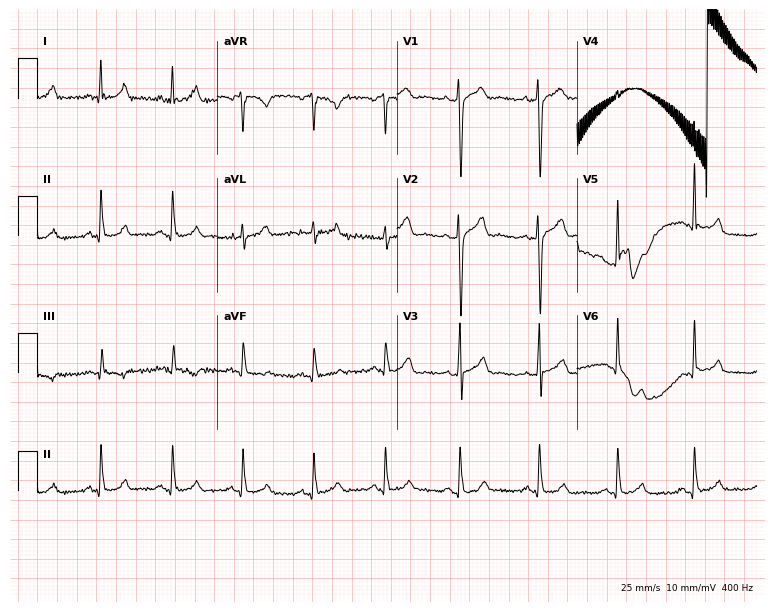
Resting 12-lead electrocardiogram. Patient: a male, 28 years old. None of these six findings is recorded: first-degree AV block, right bundle branch block, left bundle branch block, sinus bradycardia, atrial fibrillation, sinus tachycardia.